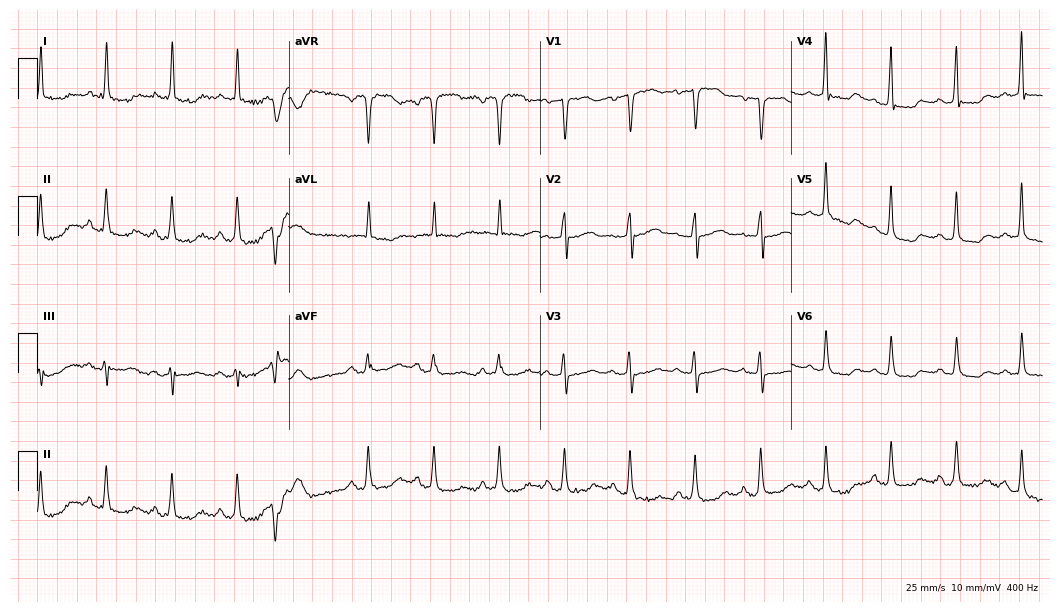
12-lead ECG from a female, 67 years old. No first-degree AV block, right bundle branch block, left bundle branch block, sinus bradycardia, atrial fibrillation or sinus tachycardia recorded for this tracing. Only these six findings were labelled.